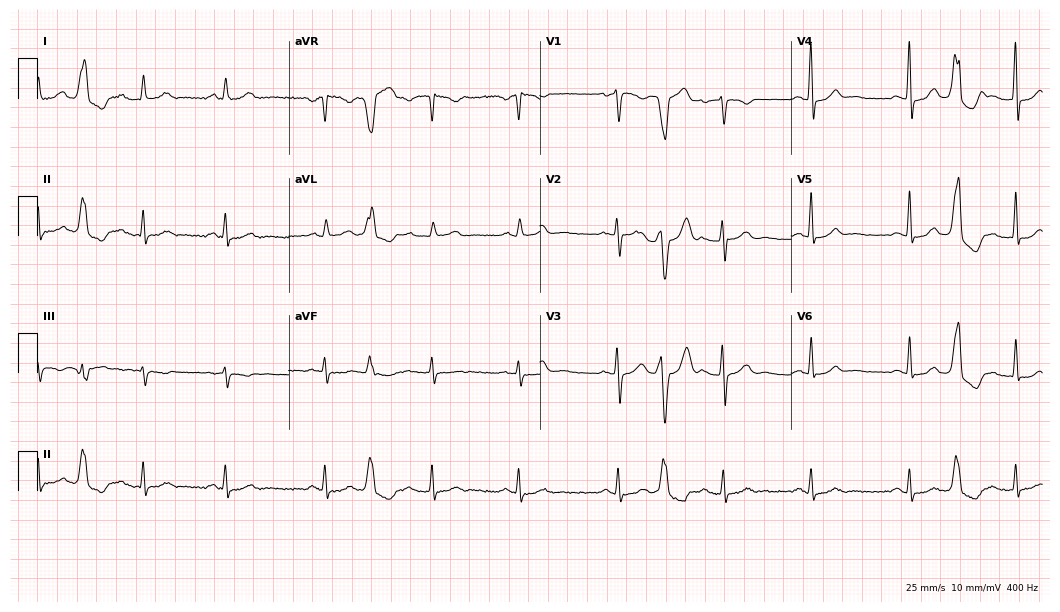
Resting 12-lead electrocardiogram. Patient: a 40-year-old female. None of these six findings is recorded: first-degree AV block, right bundle branch block, left bundle branch block, sinus bradycardia, atrial fibrillation, sinus tachycardia.